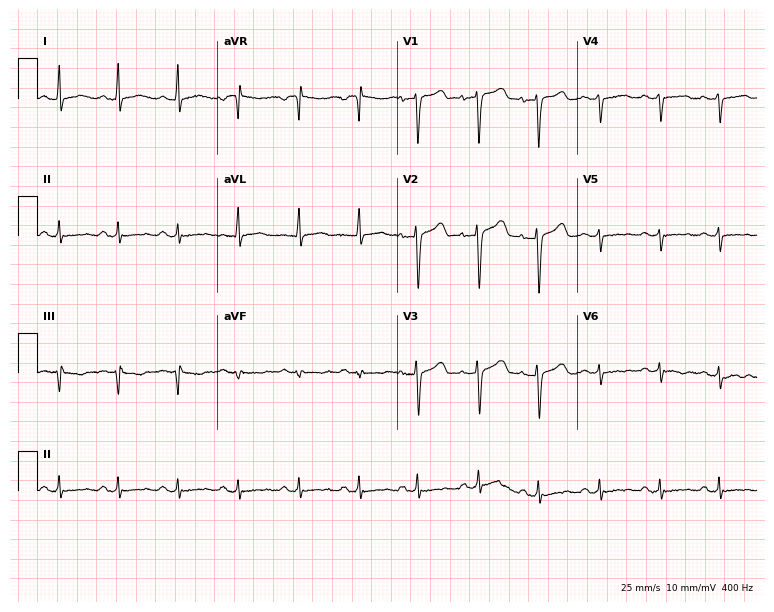
Standard 12-lead ECG recorded from a 54-year-old female patient. None of these six findings is recorded: first-degree AV block, right bundle branch block (RBBB), left bundle branch block (LBBB), sinus bradycardia, atrial fibrillation (AF), sinus tachycardia. Only these six findings were labelled.